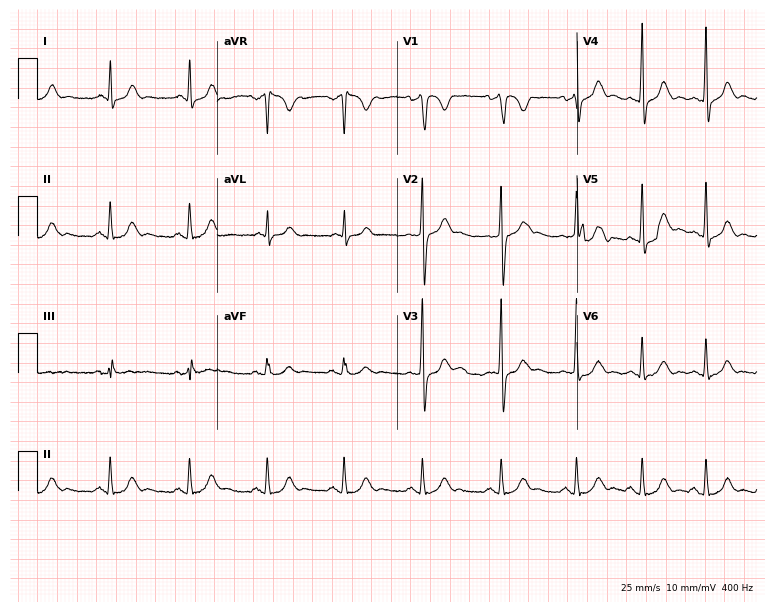
12-lead ECG from a 46-year-old man. No first-degree AV block, right bundle branch block, left bundle branch block, sinus bradycardia, atrial fibrillation or sinus tachycardia recorded for this tracing. Findings outside these six are not listed.